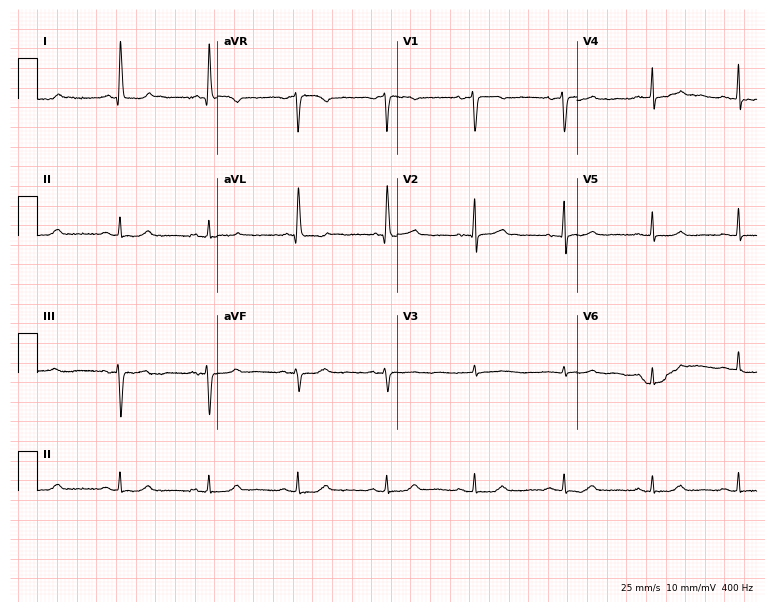
Resting 12-lead electrocardiogram (7.3-second recording at 400 Hz). Patient: a female, 73 years old. Read as a normal ECG.